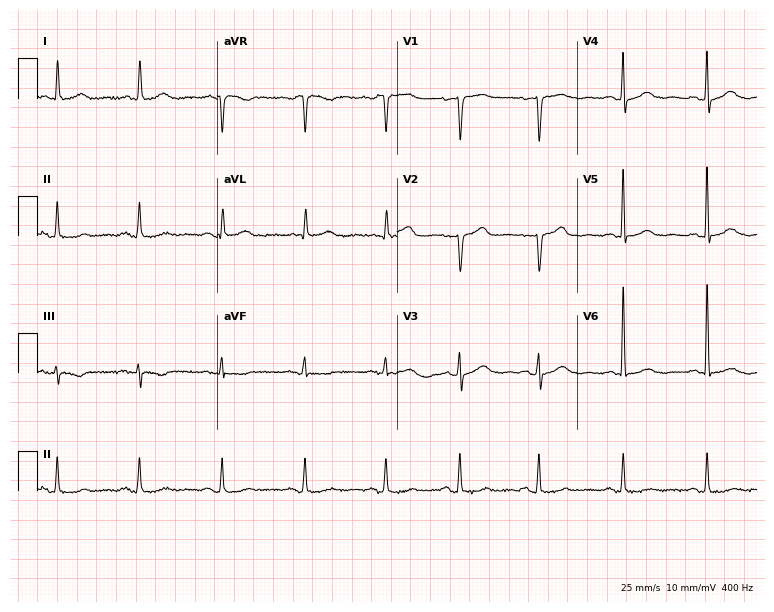
12-lead ECG from a 59-year-old woman. No first-degree AV block, right bundle branch block (RBBB), left bundle branch block (LBBB), sinus bradycardia, atrial fibrillation (AF) or sinus tachycardia recorded for this tracing.